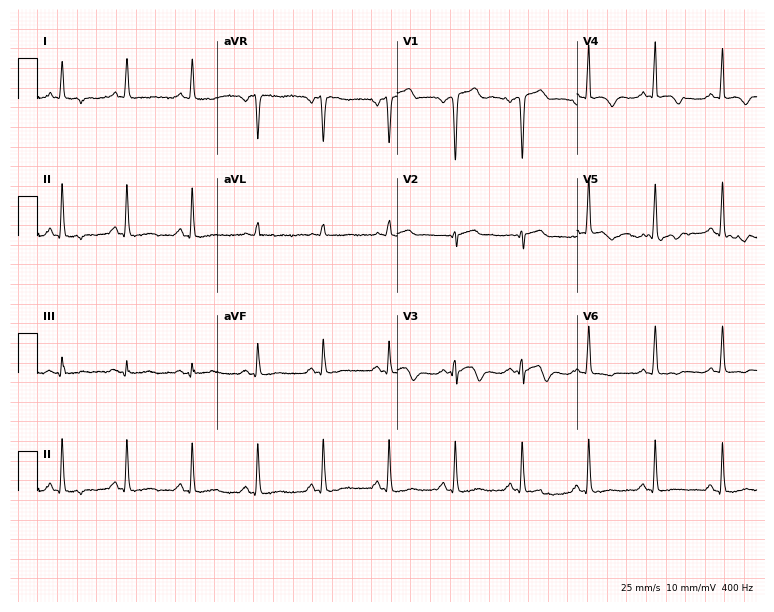
12-lead ECG (7.3-second recording at 400 Hz) from a 69-year-old male. Screened for six findings — first-degree AV block, right bundle branch block, left bundle branch block, sinus bradycardia, atrial fibrillation, sinus tachycardia — none is recorded.